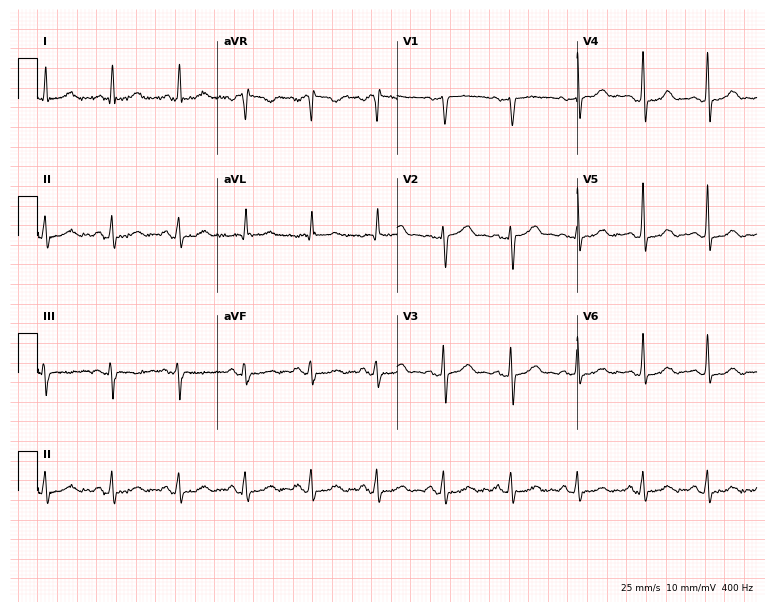
Electrocardiogram (7.3-second recording at 400 Hz), a male patient, 52 years old. Of the six screened findings (first-degree AV block, right bundle branch block (RBBB), left bundle branch block (LBBB), sinus bradycardia, atrial fibrillation (AF), sinus tachycardia), none is recorded. Other findings, if any, are not listed.